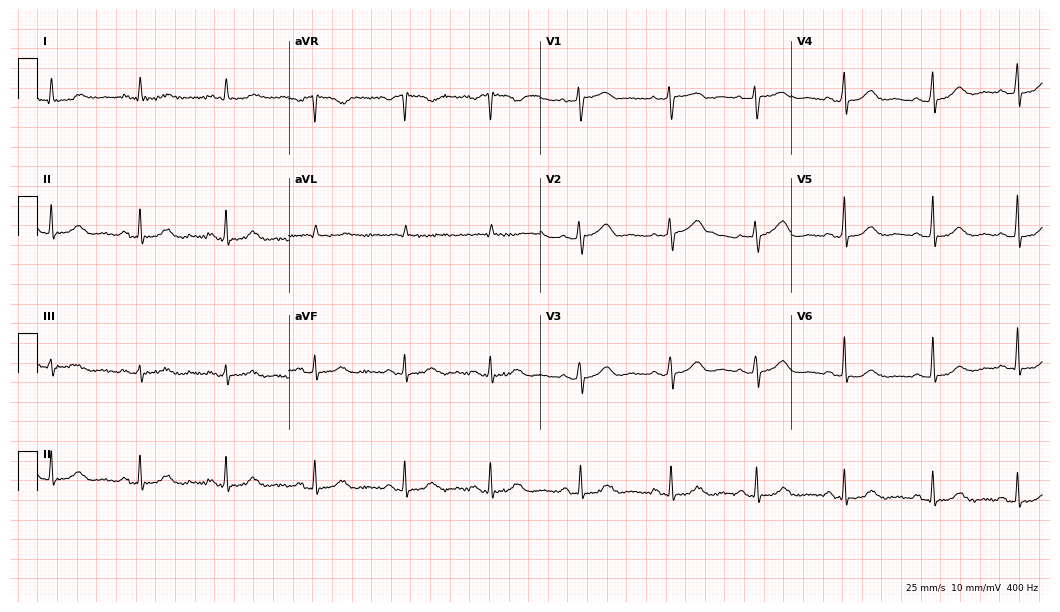
Electrocardiogram (10.2-second recording at 400 Hz), a 67-year-old woman. Overall reading on record: normal ECG.